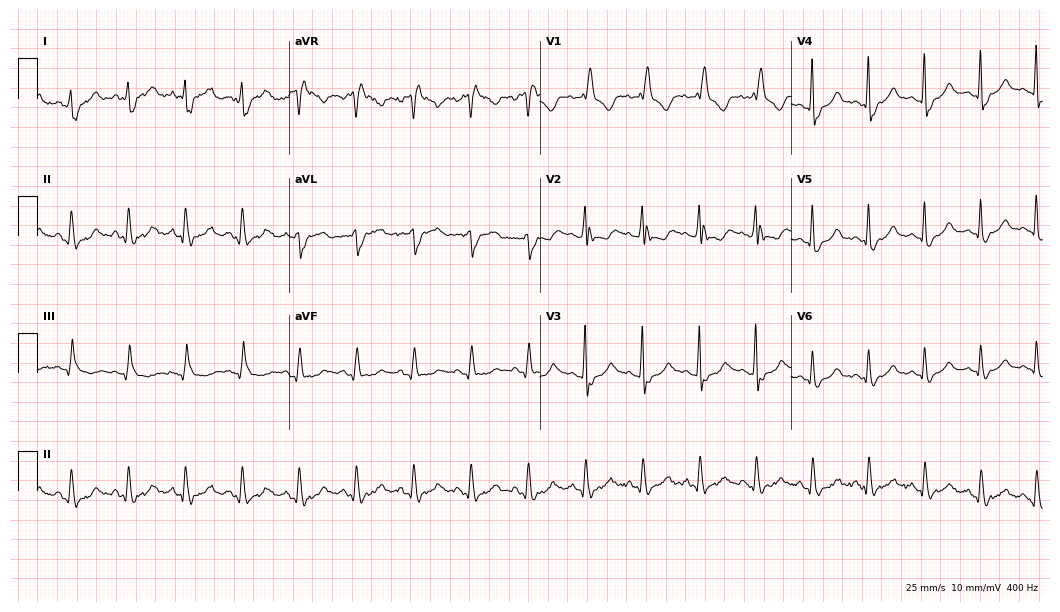
ECG (10.2-second recording at 400 Hz) — a 45-year-old woman. Findings include right bundle branch block, sinus tachycardia (a sinus rate of 100 beats per minute or more).